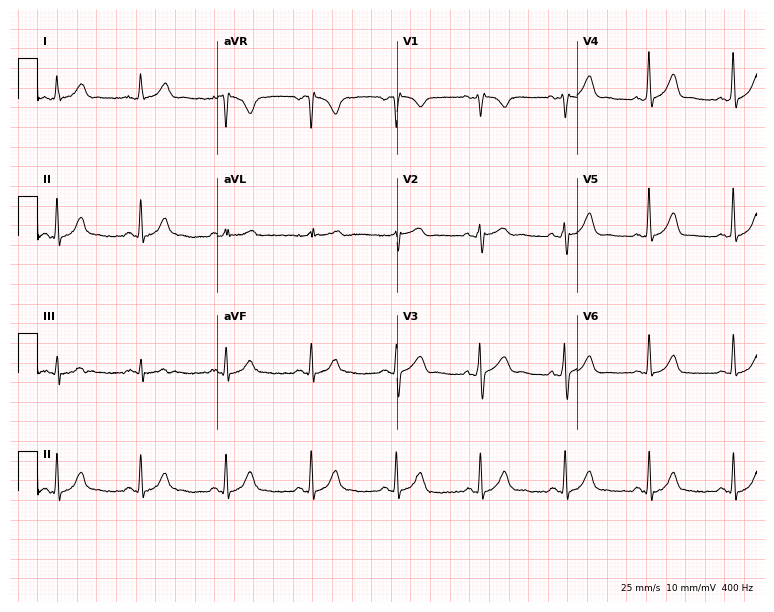
ECG (7.3-second recording at 400 Hz) — a 37-year-old man. Screened for six findings — first-degree AV block, right bundle branch block (RBBB), left bundle branch block (LBBB), sinus bradycardia, atrial fibrillation (AF), sinus tachycardia — none is recorded.